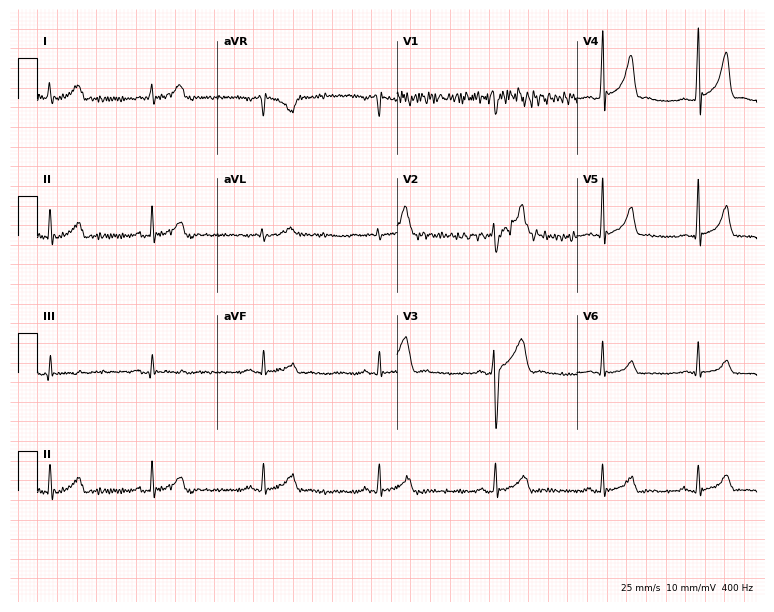
12-lead ECG (7.3-second recording at 400 Hz) from a 23-year-old male. Labelled as a normal ECG.